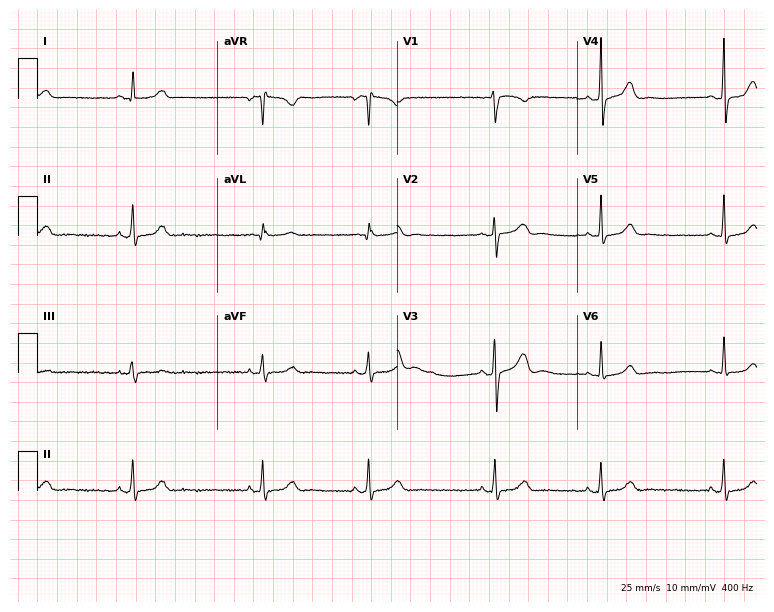
ECG — a 20-year-old female patient. Labelled as a normal ECG.